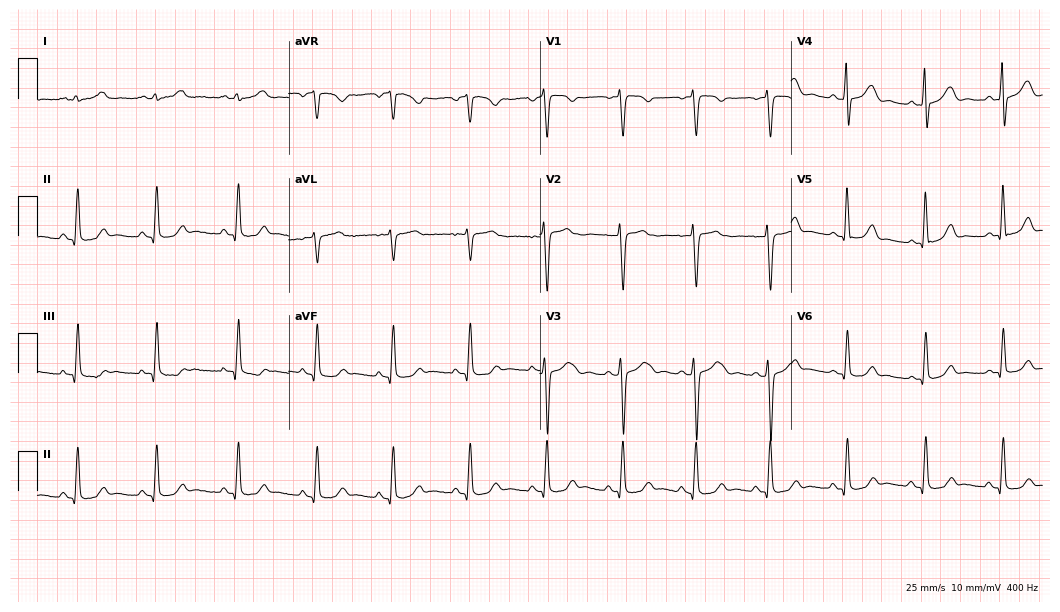
Electrocardiogram, a female patient, 22 years old. Of the six screened findings (first-degree AV block, right bundle branch block, left bundle branch block, sinus bradycardia, atrial fibrillation, sinus tachycardia), none is recorded. Findings outside these six are not listed.